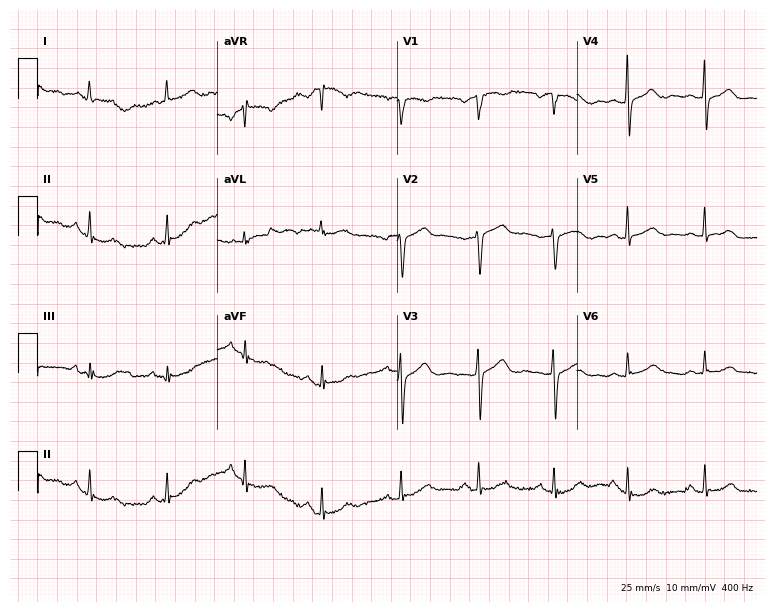
12-lead ECG from a 58-year-old woman. Recorded interpretation: within normal limits.